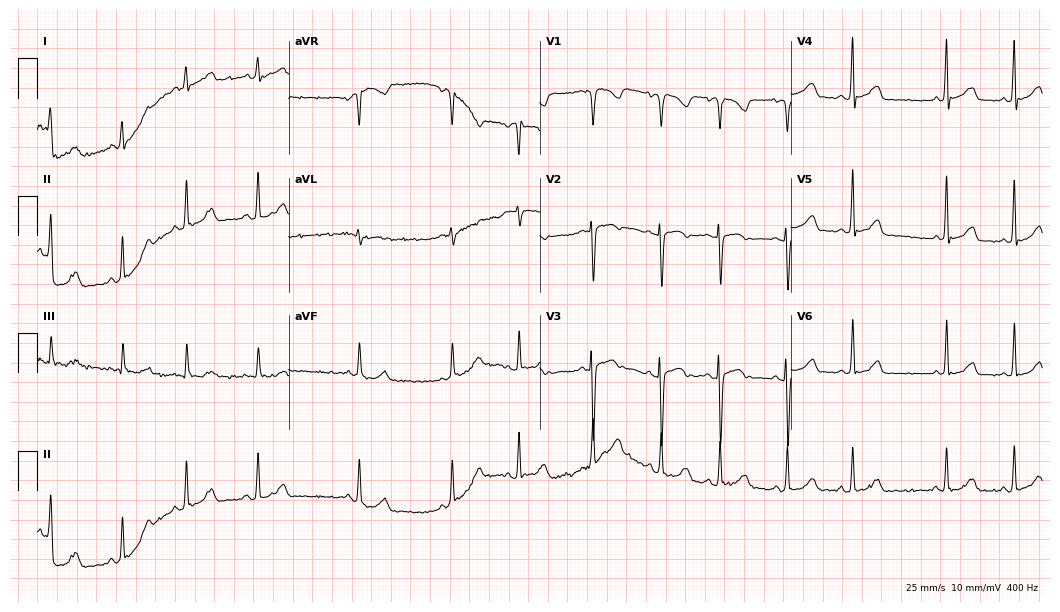
Electrocardiogram (10.2-second recording at 400 Hz), a female, 50 years old. Overall reading on record: normal ECG.